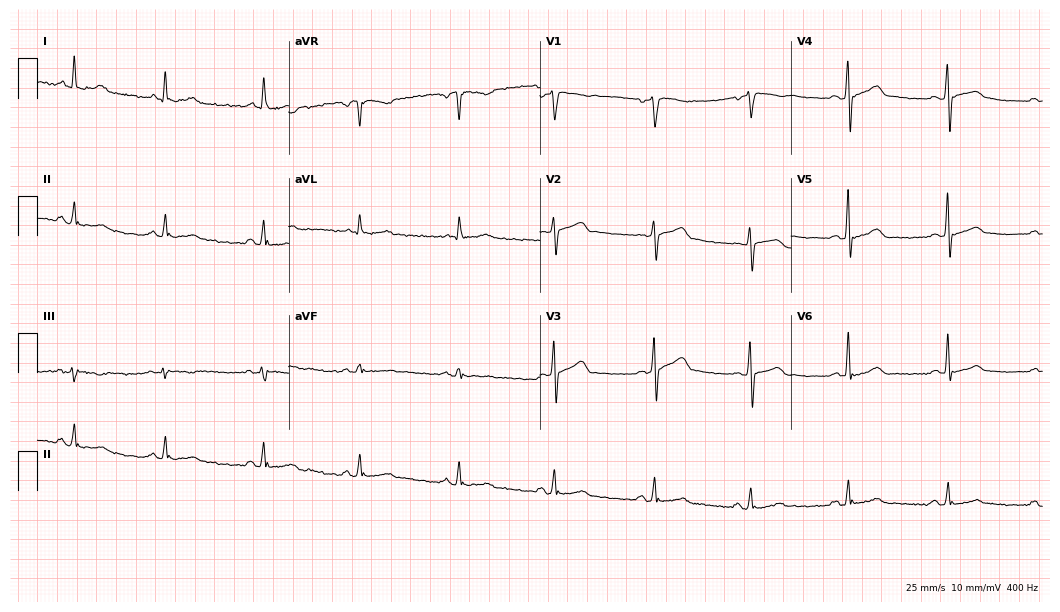
Electrocardiogram, a 60-year-old man. Overall reading on record: normal ECG.